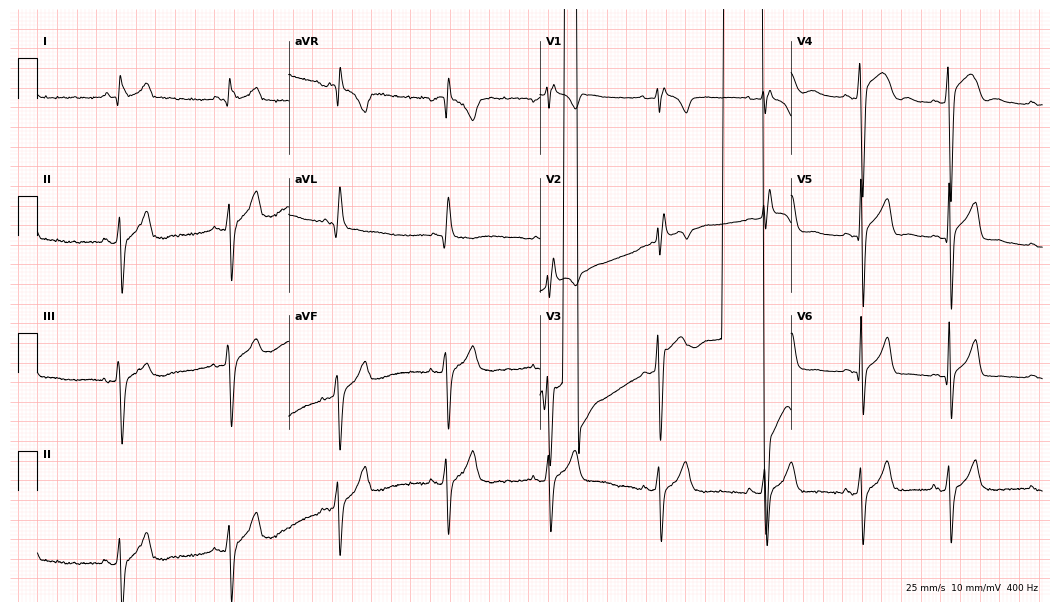
Standard 12-lead ECG recorded from a male patient, 54 years old (10.2-second recording at 400 Hz). None of these six findings is recorded: first-degree AV block, right bundle branch block, left bundle branch block, sinus bradycardia, atrial fibrillation, sinus tachycardia. Only these six findings were labelled.